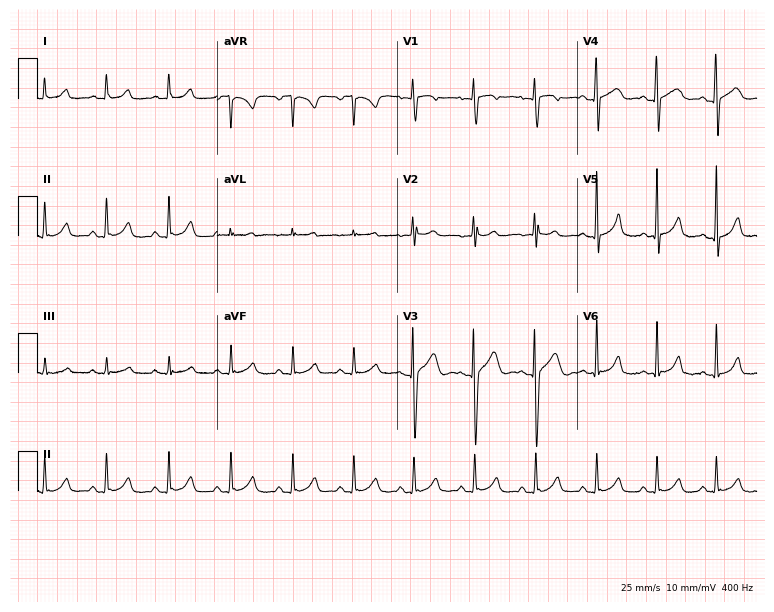
Standard 12-lead ECG recorded from a woman, 17 years old. Read as a normal ECG.